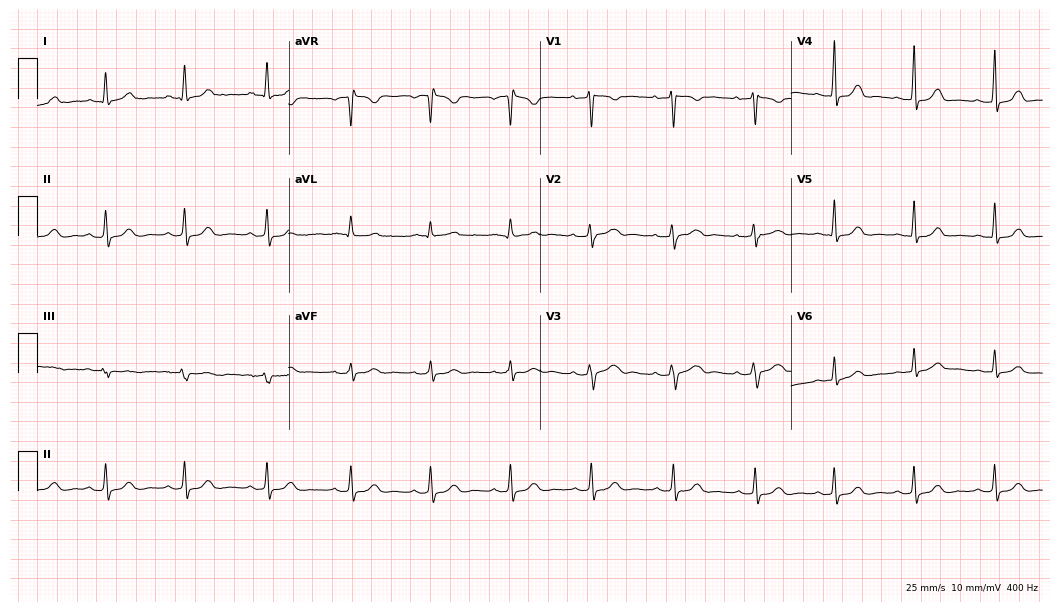
Electrocardiogram, a female patient, 29 years old. Overall reading on record: normal ECG.